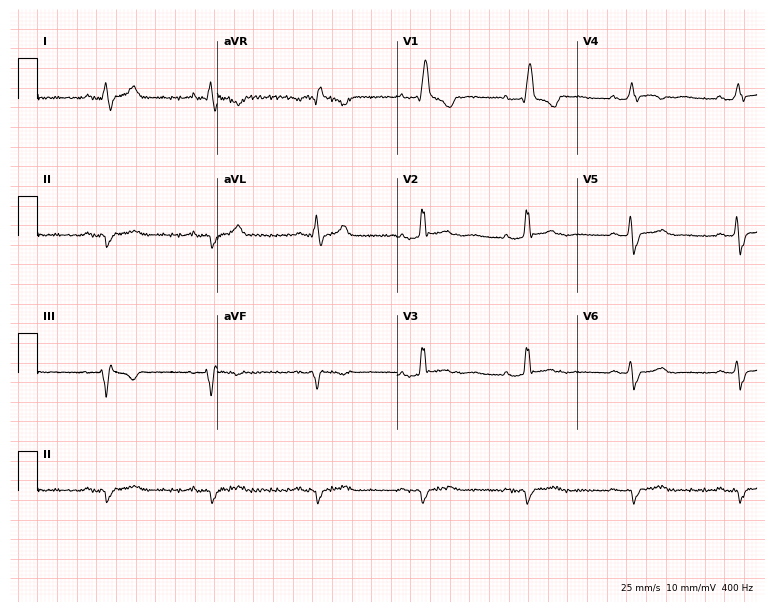
12-lead ECG (7.3-second recording at 400 Hz) from a male, 73 years old. Findings include right bundle branch block.